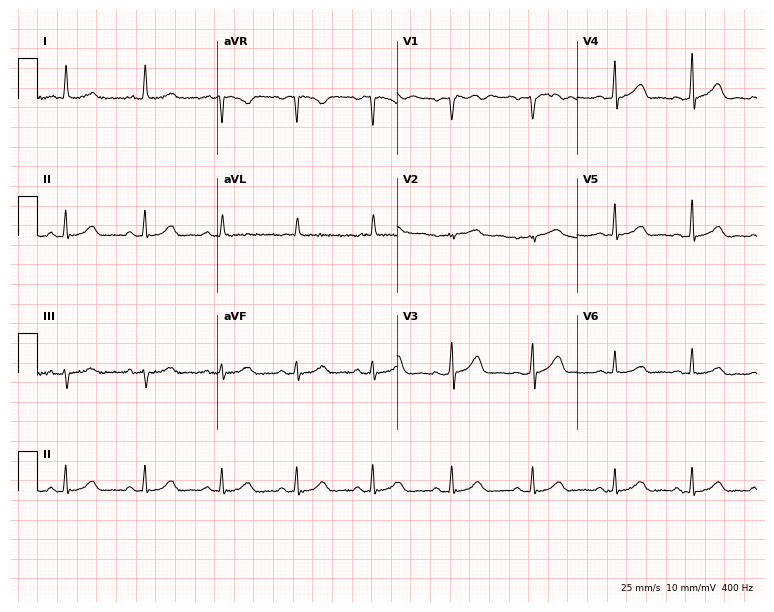
Standard 12-lead ECG recorded from a woman, 52 years old (7.3-second recording at 400 Hz). None of these six findings is recorded: first-degree AV block, right bundle branch block, left bundle branch block, sinus bradycardia, atrial fibrillation, sinus tachycardia.